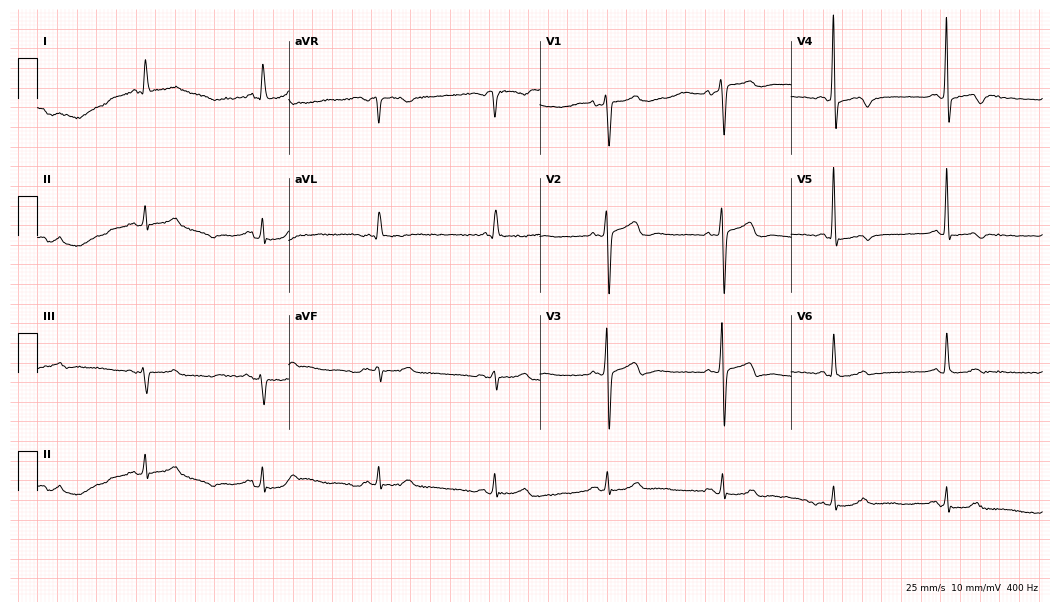
Electrocardiogram (10.2-second recording at 400 Hz), an 84-year-old male. Of the six screened findings (first-degree AV block, right bundle branch block, left bundle branch block, sinus bradycardia, atrial fibrillation, sinus tachycardia), none is recorded. Other findings, if any, are not listed.